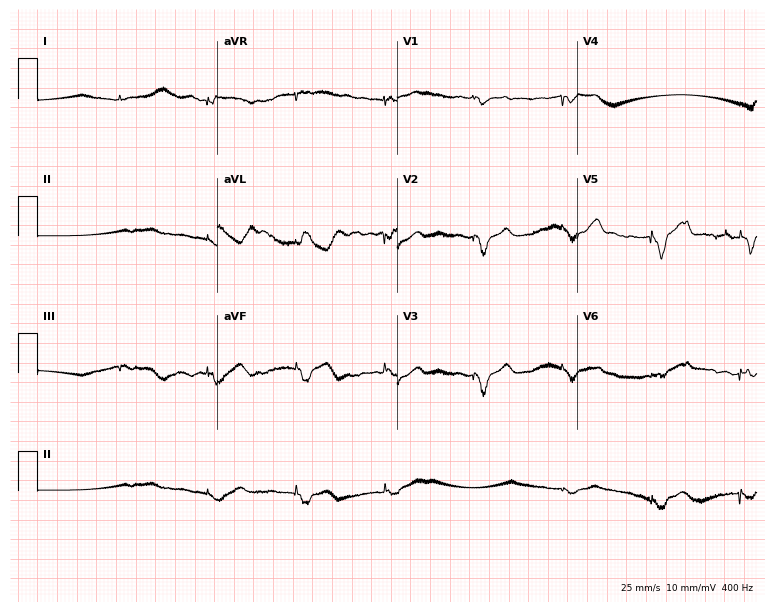
12-lead ECG from a woman, 79 years old. No first-degree AV block, right bundle branch block (RBBB), left bundle branch block (LBBB), sinus bradycardia, atrial fibrillation (AF) or sinus tachycardia recorded for this tracing. Only these six findings were labelled.